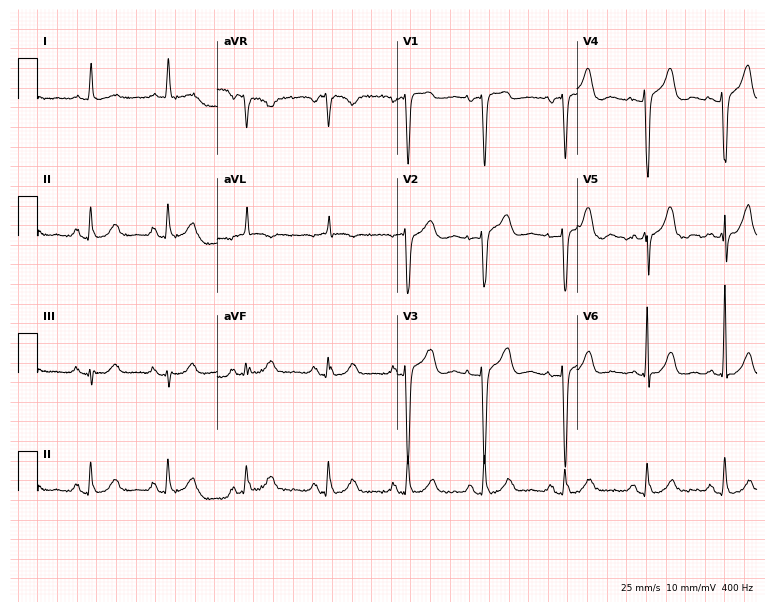
ECG (7.3-second recording at 400 Hz) — a female patient, 79 years old. Screened for six findings — first-degree AV block, right bundle branch block, left bundle branch block, sinus bradycardia, atrial fibrillation, sinus tachycardia — none is recorded. Findings outside these six are not listed.